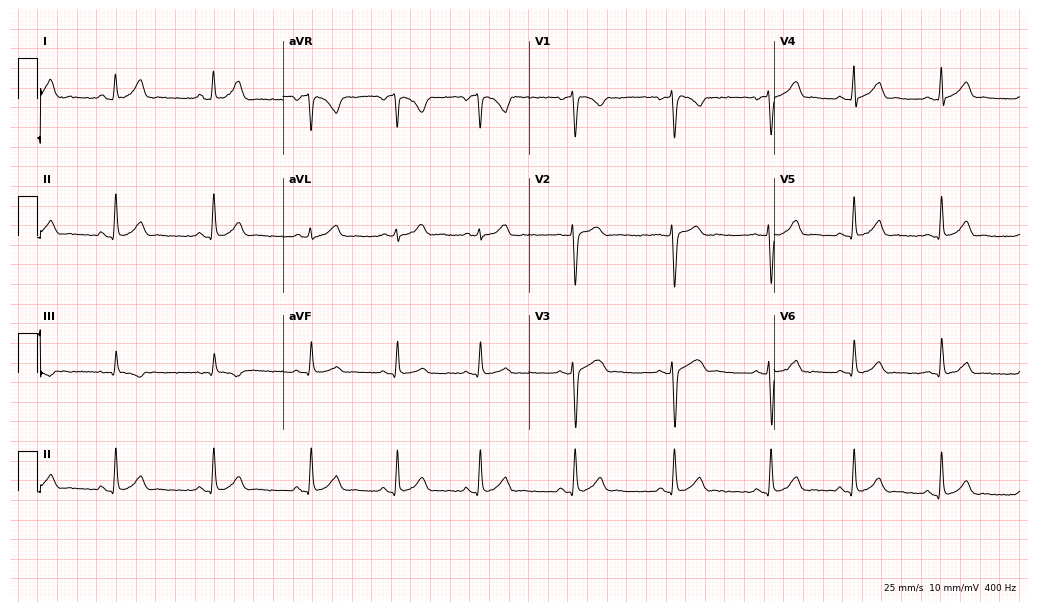
Standard 12-lead ECG recorded from a 23-year-old woman. Read as a normal ECG.